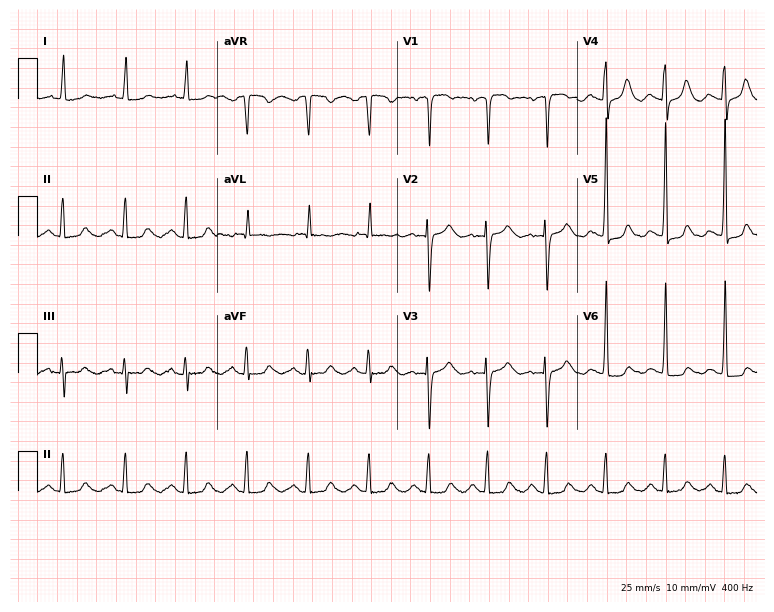
ECG — a female patient, 68 years old. Screened for six findings — first-degree AV block, right bundle branch block (RBBB), left bundle branch block (LBBB), sinus bradycardia, atrial fibrillation (AF), sinus tachycardia — none is recorded. Only these six findings were labelled.